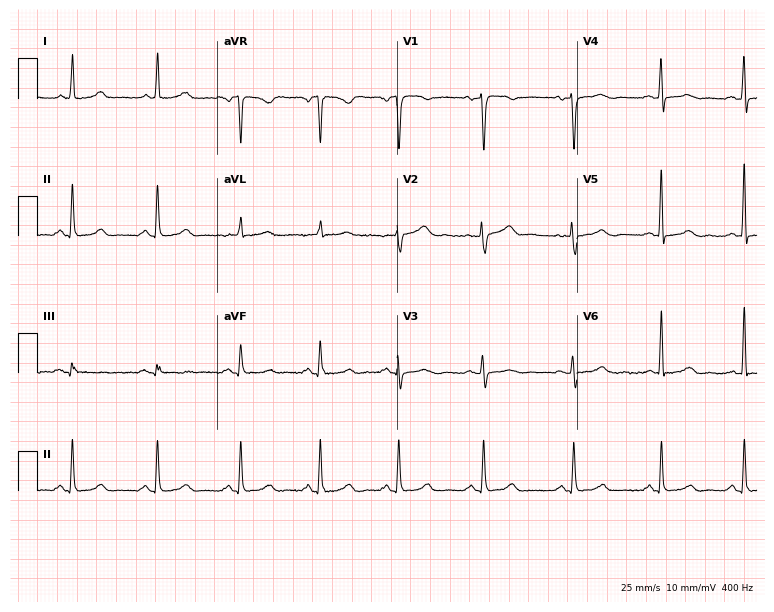
Standard 12-lead ECG recorded from a 46-year-old female (7.3-second recording at 400 Hz). Read as a normal ECG.